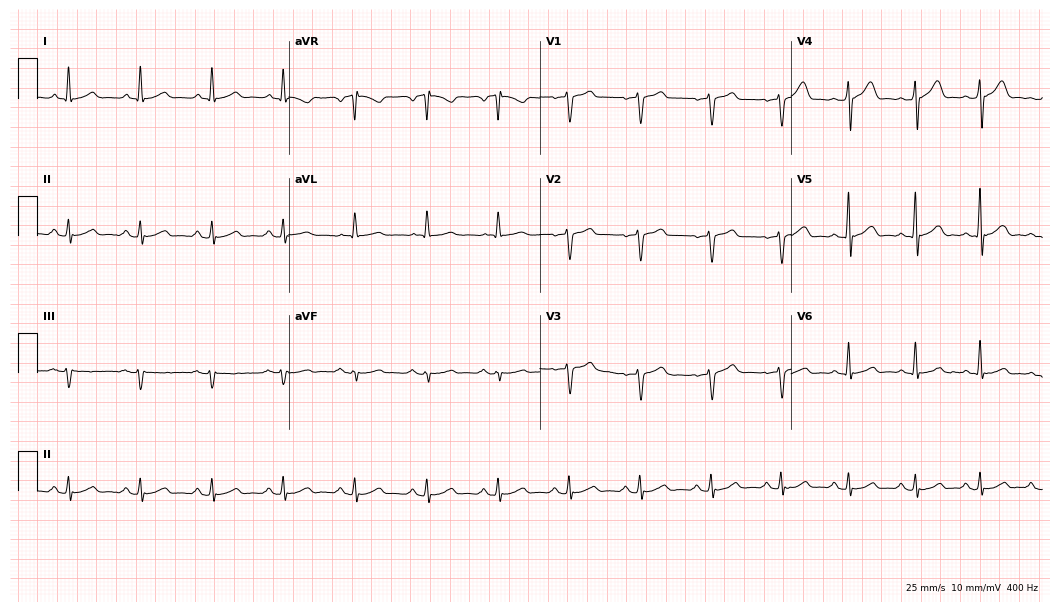
Standard 12-lead ECG recorded from a 63-year-old male patient. Read as a normal ECG.